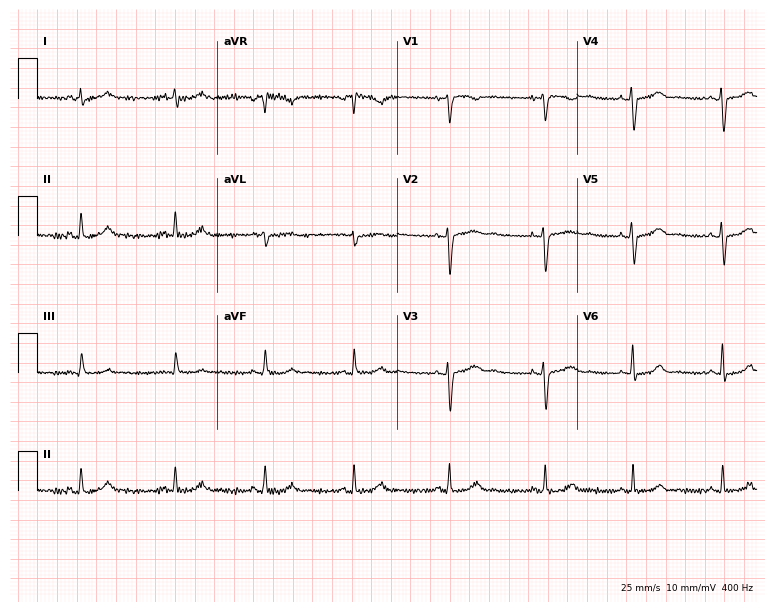
Resting 12-lead electrocardiogram. Patient: a female, 35 years old. Read as a normal ECG.